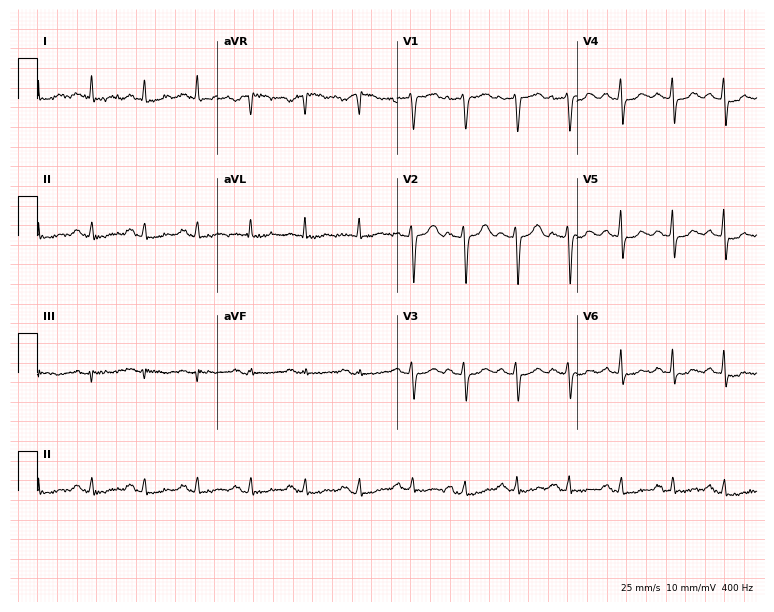
ECG (7.3-second recording at 400 Hz) — a 53-year-old woman. Findings include sinus tachycardia (a sinus rate of 100 beats per minute or more).